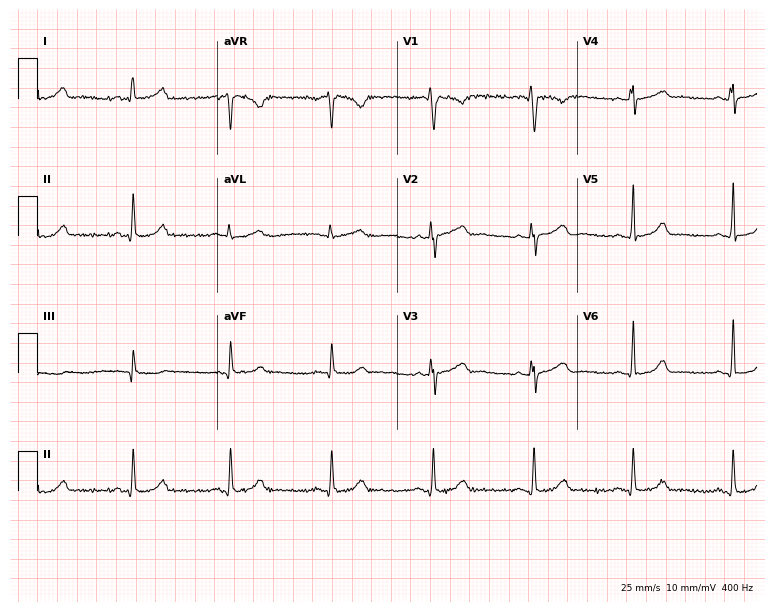
Resting 12-lead electrocardiogram. Patient: a 37-year-old female. None of these six findings is recorded: first-degree AV block, right bundle branch block, left bundle branch block, sinus bradycardia, atrial fibrillation, sinus tachycardia. Findings outside these six are not listed.